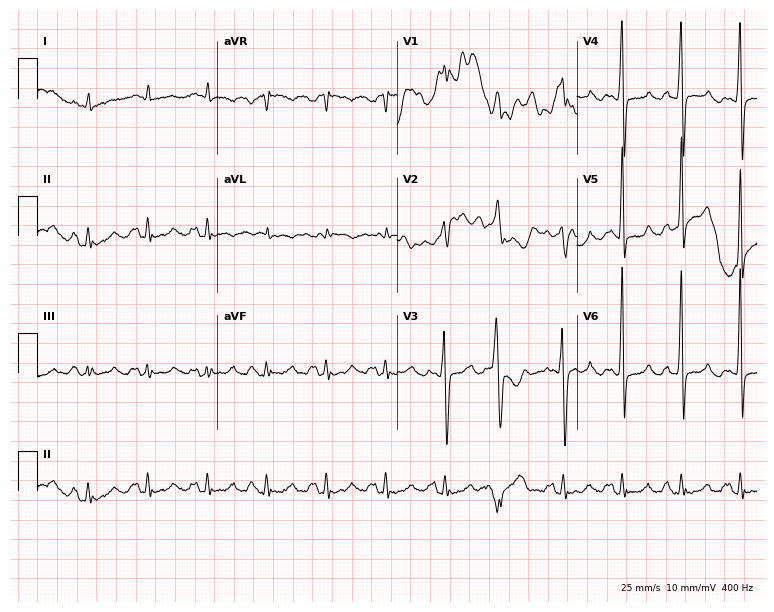
Electrocardiogram (7.3-second recording at 400 Hz), a male patient, 60 years old. Of the six screened findings (first-degree AV block, right bundle branch block, left bundle branch block, sinus bradycardia, atrial fibrillation, sinus tachycardia), none is recorded. Findings outside these six are not listed.